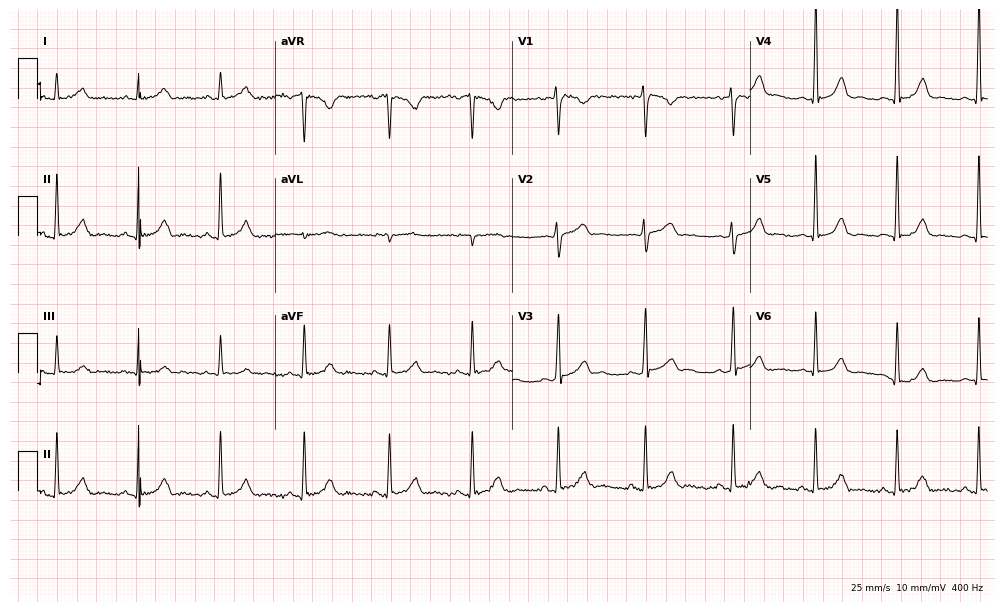
12-lead ECG from a male, 30 years old. Recorded interpretation: within normal limits.